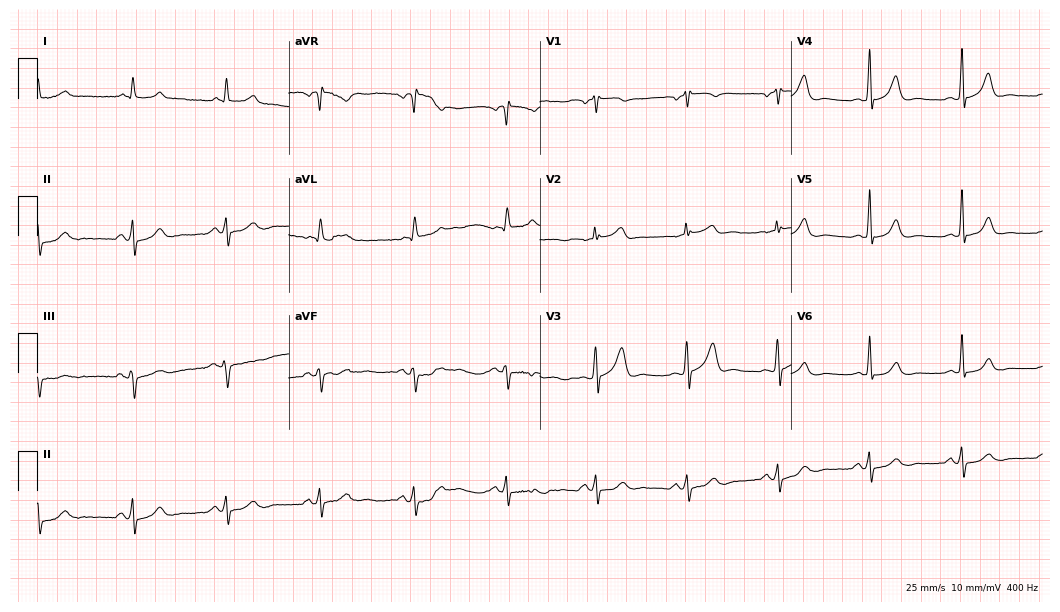
Resting 12-lead electrocardiogram (10.2-second recording at 400 Hz). Patient: a 63-year-old male. Read as a normal ECG.